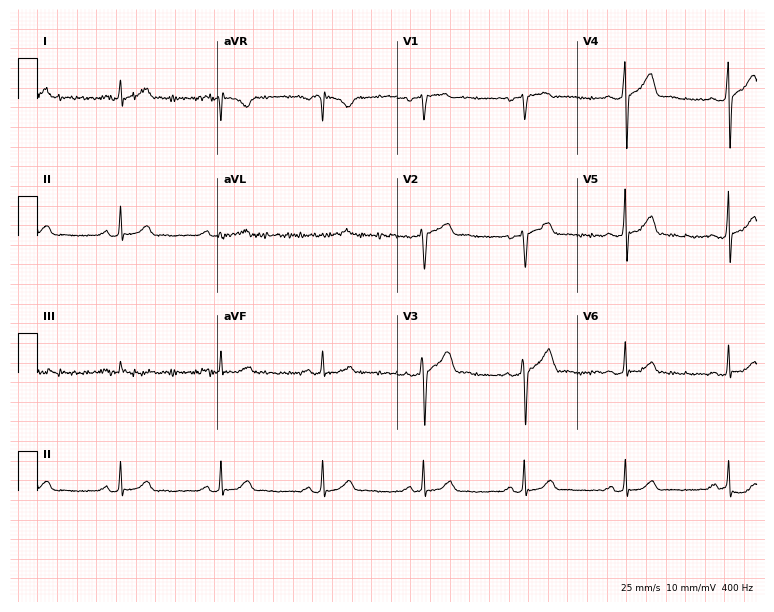
ECG (7.3-second recording at 400 Hz) — a man, 53 years old. Labelled as a normal ECG.